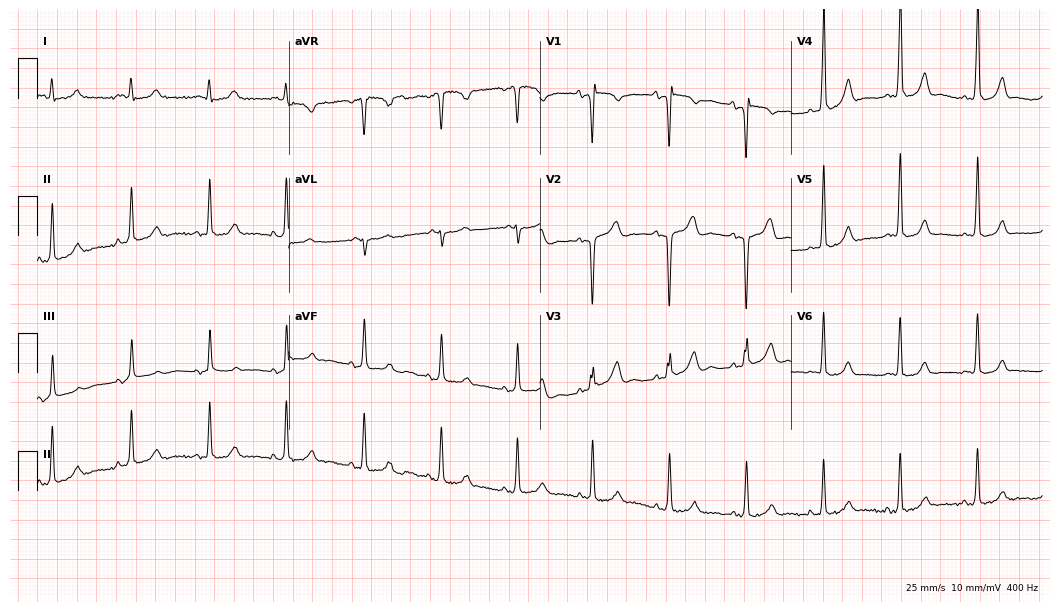
ECG — a 31-year-old female. Screened for six findings — first-degree AV block, right bundle branch block, left bundle branch block, sinus bradycardia, atrial fibrillation, sinus tachycardia — none is recorded. Other findings, if any, are not listed.